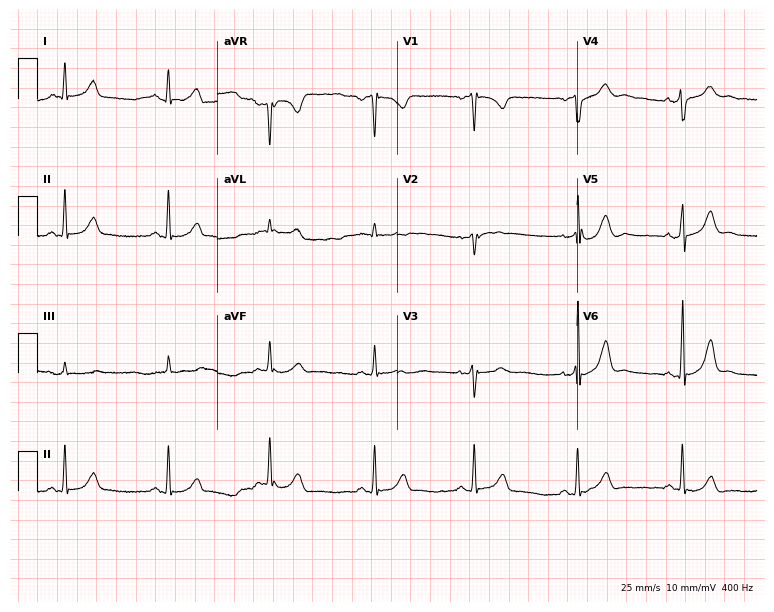
Standard 12-lead ECG recorded from a 24-year-old female patient. Read as a normal ECG.